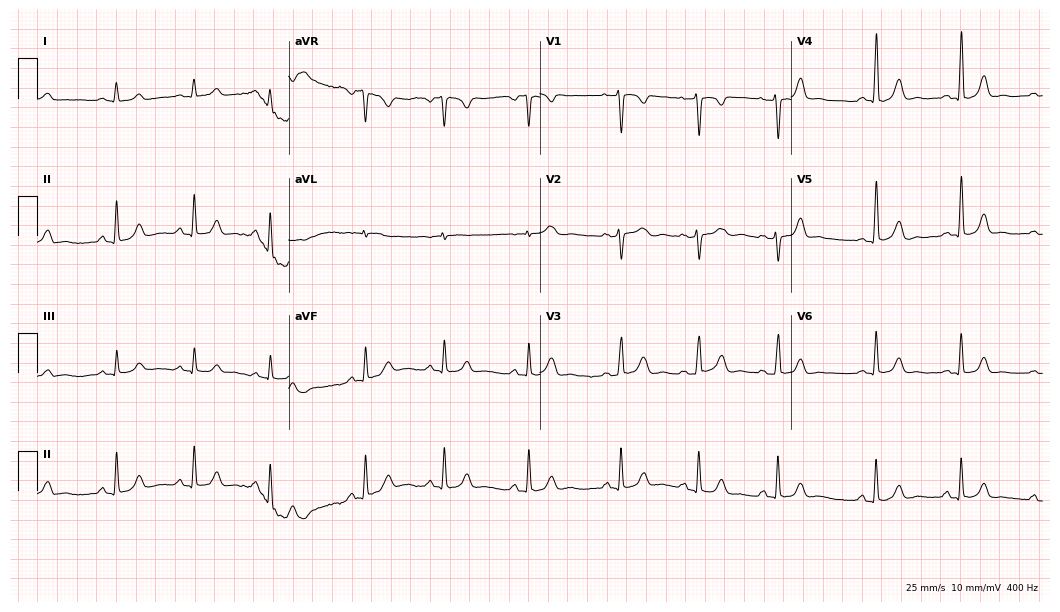
12-lead ECG (10.2-second recording at 400 Hz) from a 21-year-old female. Labelled as a normal ECG.